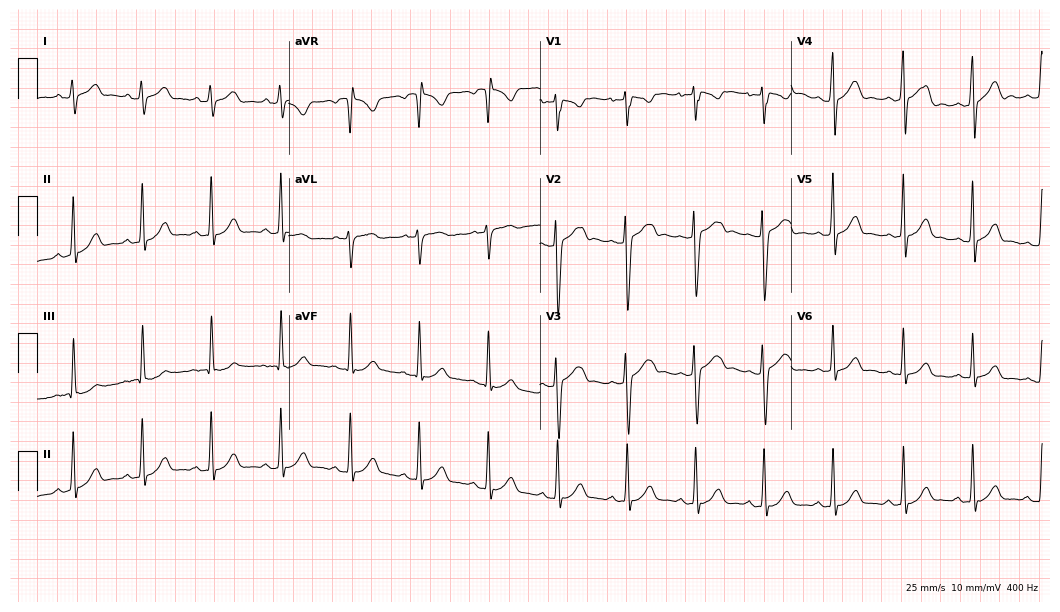
Electrocardiogram, a man, 17 years old. Overall reading on record: normal ECG.